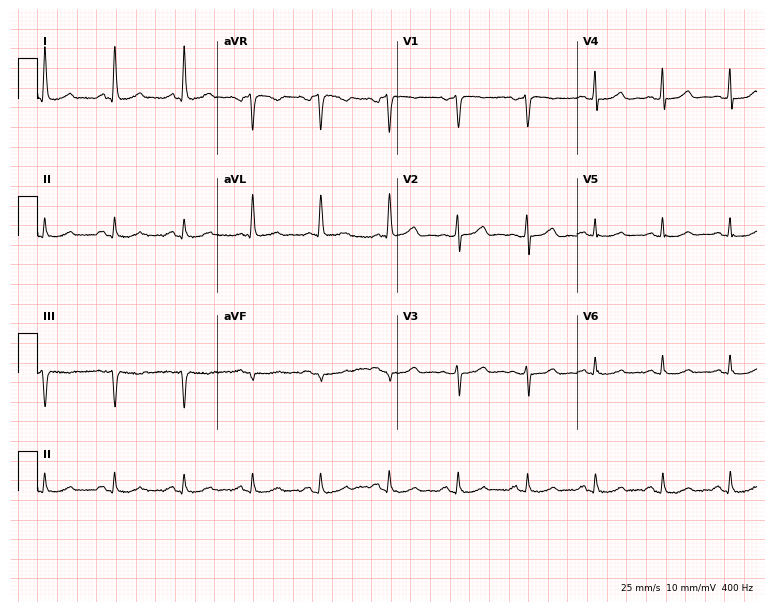
Standard 12-lead ECG recorded from a 66-year-old woman. None of these six findings is recorded: first-degree AV block, right bundle branch block (RBBB), left bundle branch block (LBBB), sinus bradycardia, atrial fibrillation (AF), sinus tachycardia.